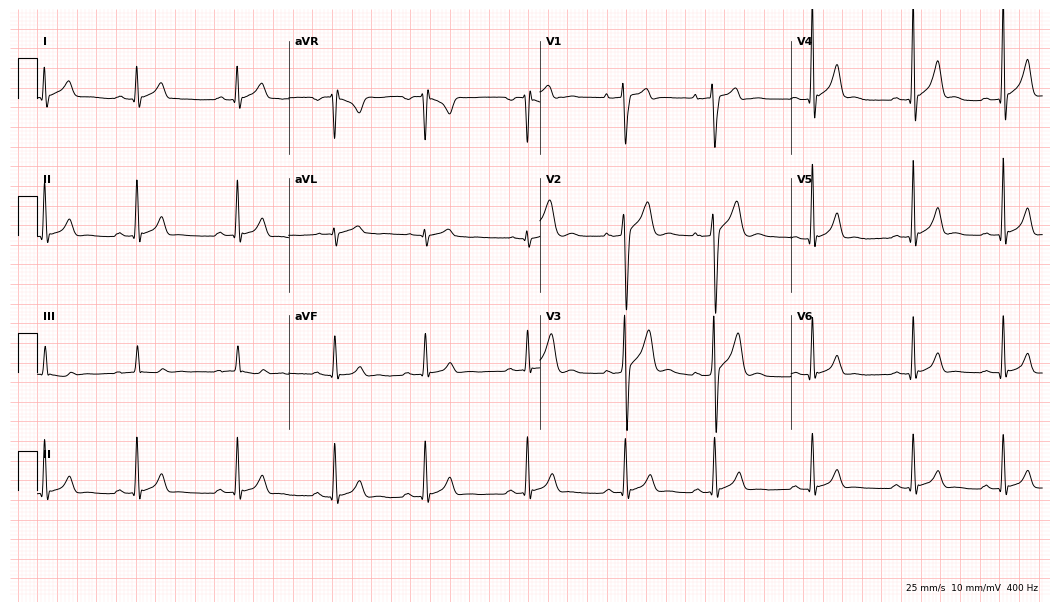
ECG (10.2-second recording at 400 Hz) — a 17-year-old man. Labelled as a normal ECG.